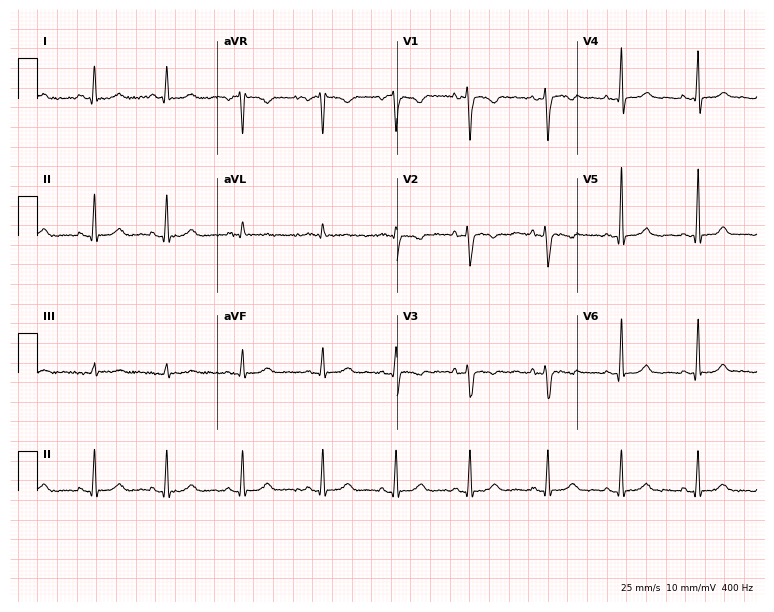
Electrocardiogram, a female, 28 years old. Of the six screened findings (first-degree AV block, right bundle branch block (RBBB), left bundle branch block (LBBB), sinus bradycardia, atrial fibrillation (AF), sinus tachycardia), none is recorded.